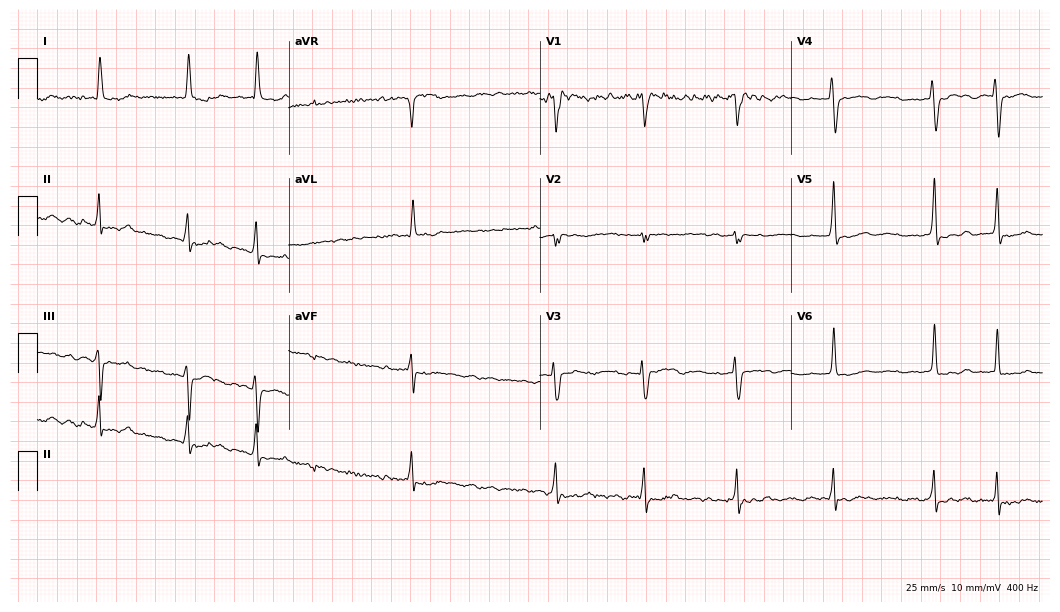
12-lead ECG from a female patient, 71 years old. Findings include atrial fibrillation (AF).